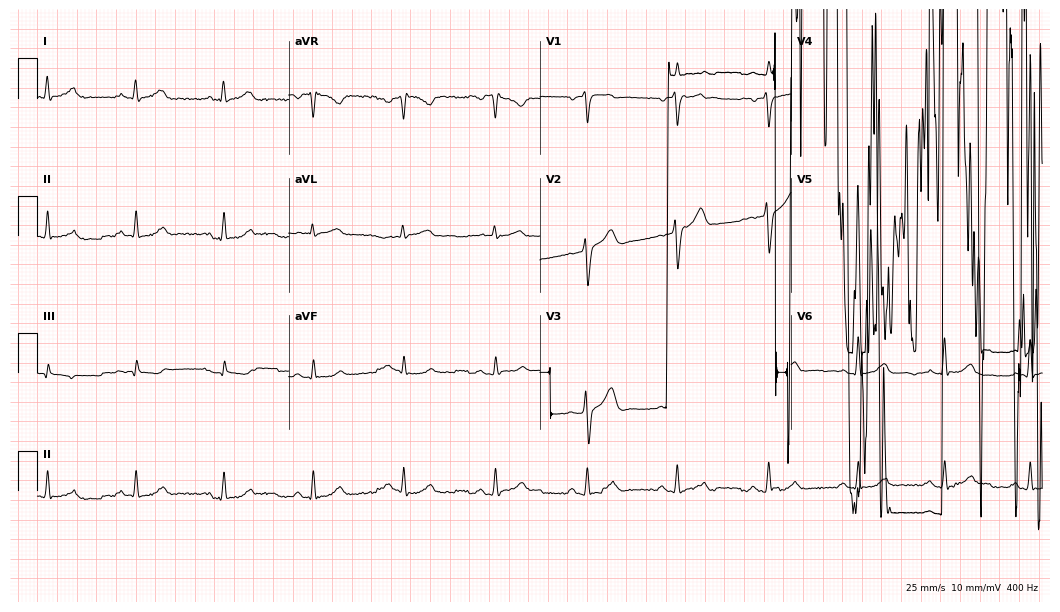
12-lead ECG (10.2-second recording at 400 Hz) from a 55-year-old man. Screened for six findings — first-degree AV block, right bundle branch block, left bundle branch block, sinus bradycardia, atrial fibrillation, sinus tachycardia — none is recorded.